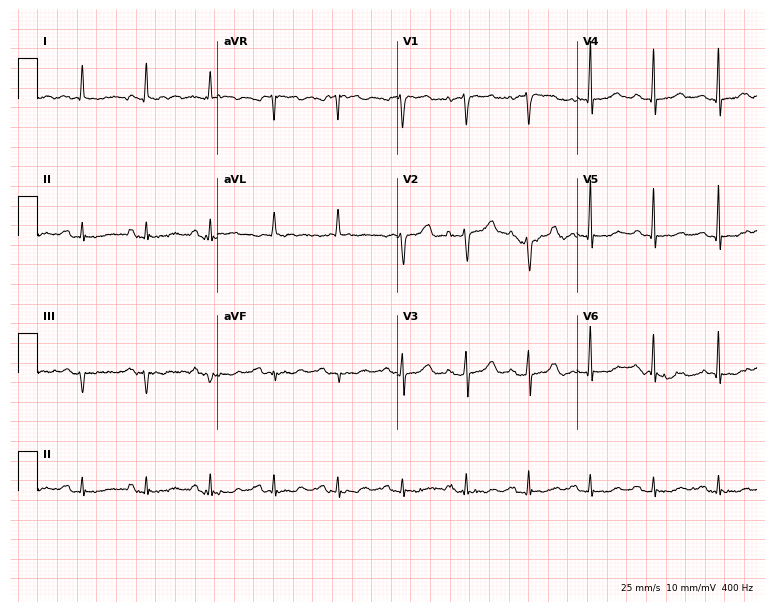
12-lead ECG (7.3-second recording at 400 Hz) from a woman, 85 years old. Screened for six findings — first-degree AV block, right bundle branch block, left bundle branch block, sinus bradycardia, atrial fibrillation, sinus tachycardia — none is recorded.